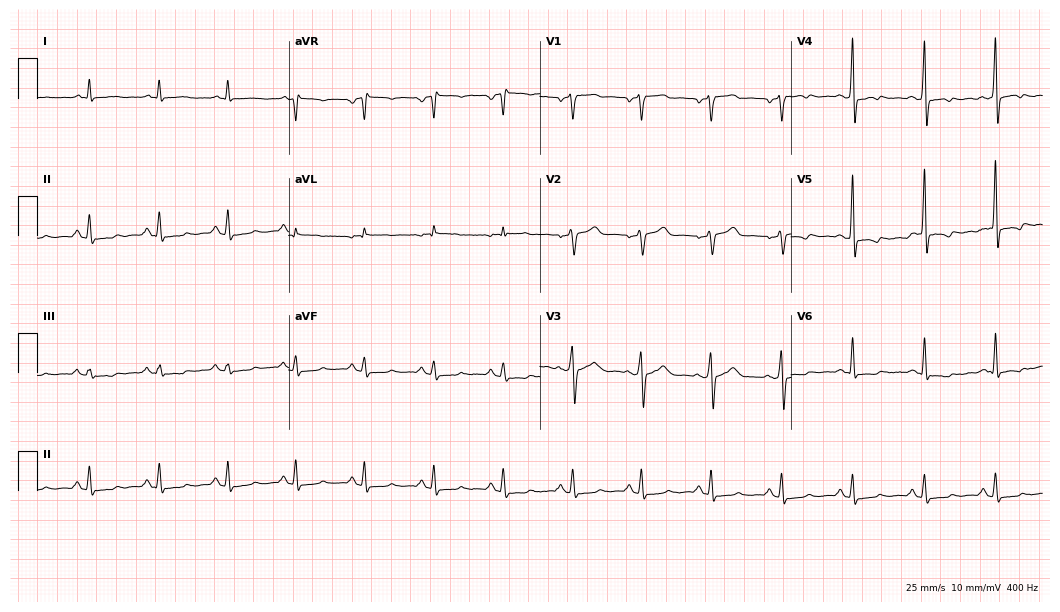
Standard 12-lead ECG recorded from a 53-year-old man. None of these six findings is recorded: first-degree AV block, right bundle branch block (RBBB), left bundle branch block (LBBB), sinus bradycardia, atrial fibrillation (AF), sinus tachycardia.